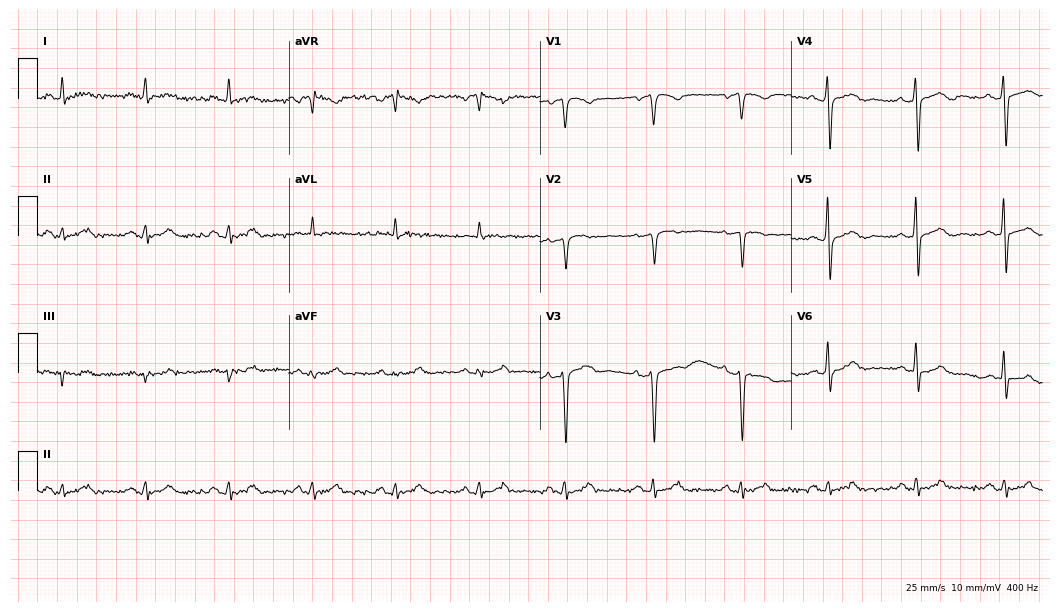
12-lead ECG from a 61-year-old man. No first-degree AV block, right bundle branch block, left bundle branch block, sinus bradycardia, atrial fibrillation or sinus tachycardia recorded for this tracing.